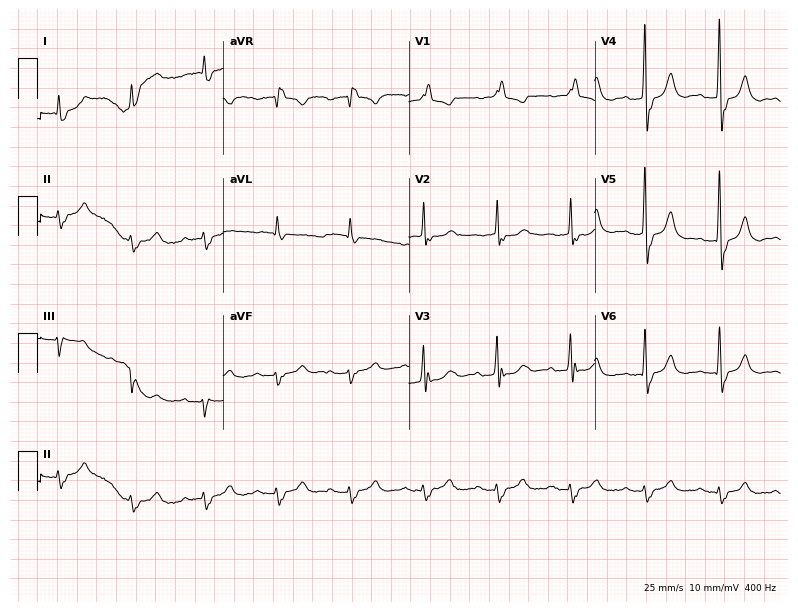
Resting 12-lead electrocardiogram. Patient: a male, 82 years old. The tracing shows right bundle branch block.